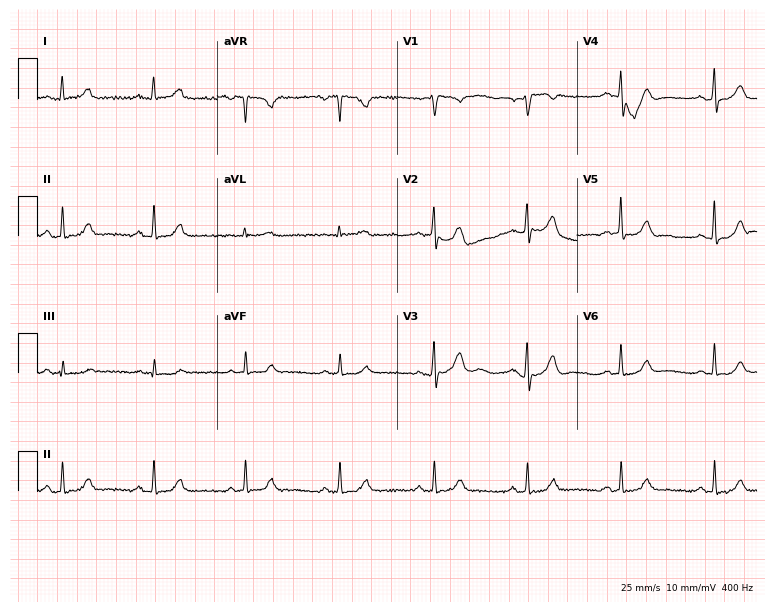
Standard 12-lead ECG recorded from a 60-year-old female patient (7.3-second recording at 400 Hz). Read as a normal ECG.